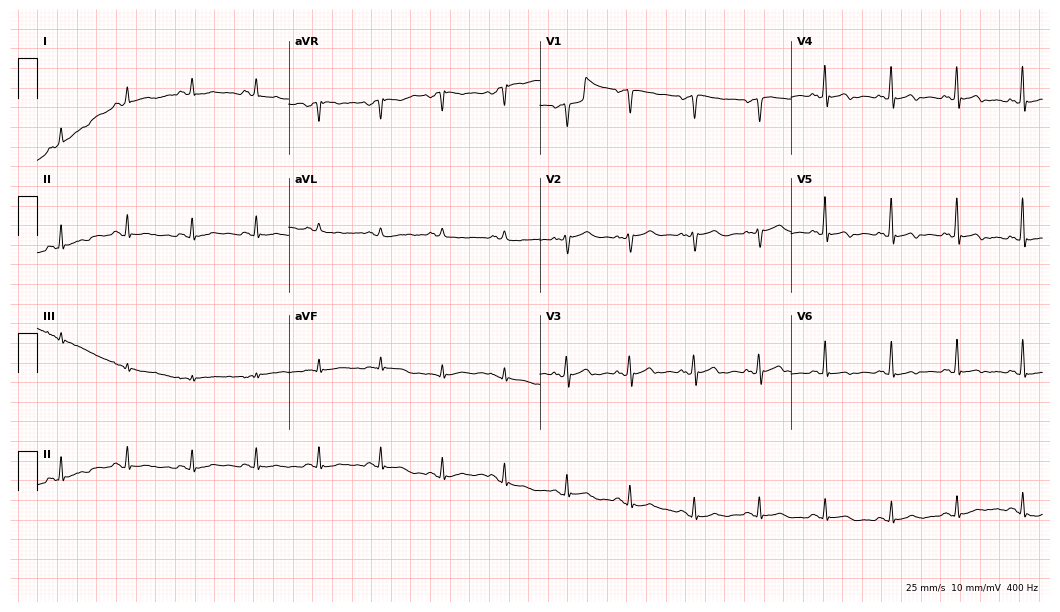
ECG — a woman, 49 years old. Screened for six findings — first-degree AV block, right bundle branch block (RBBB), left bundle branch block (LBBB), sinus bradycardia, atrial fibrillation (AF), sinus tachycardia — none is recorded. Only these six findings were labelled.